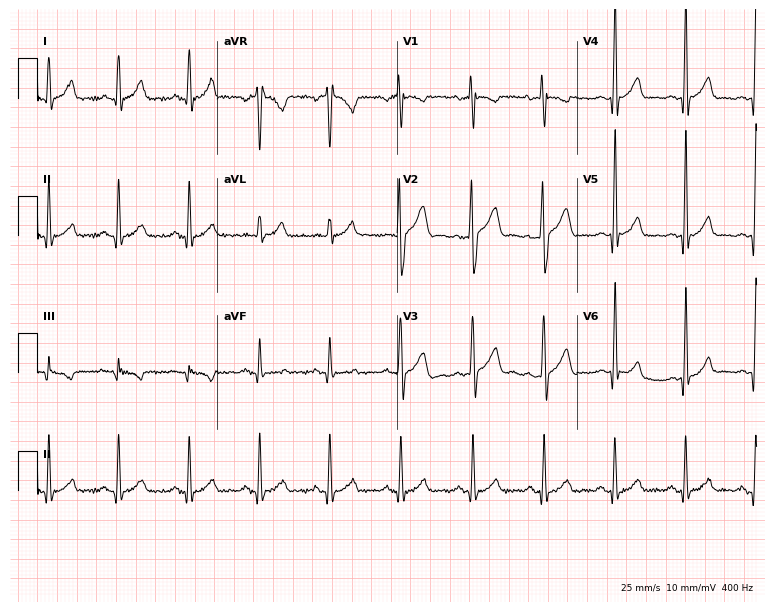
ECG (7.3-second recording at 400 Hz) — a 41-year-old man. Labelled as a normal ECG.